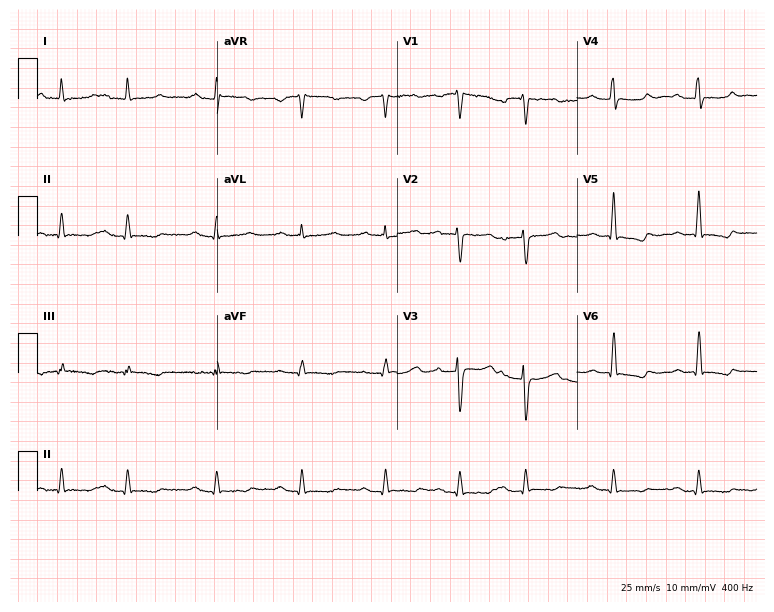
12-lead ECG from a female, 72 years old. Screened for six findings — first-degree AV block, right bundle branch block, left bundle branch block, sinus bradycardia, atrial fibrillation, sinus tachycardia — none is recorded. Other findings, if any, are not listed.